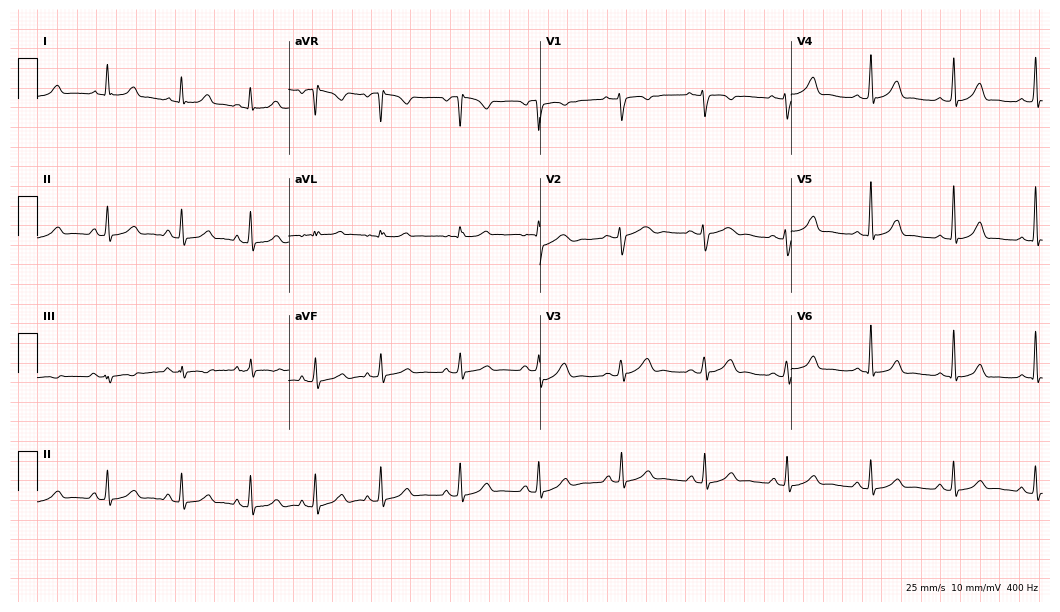
Electrocardiogram, a woman, 30 years old. Overall reading on record: normal ECG.